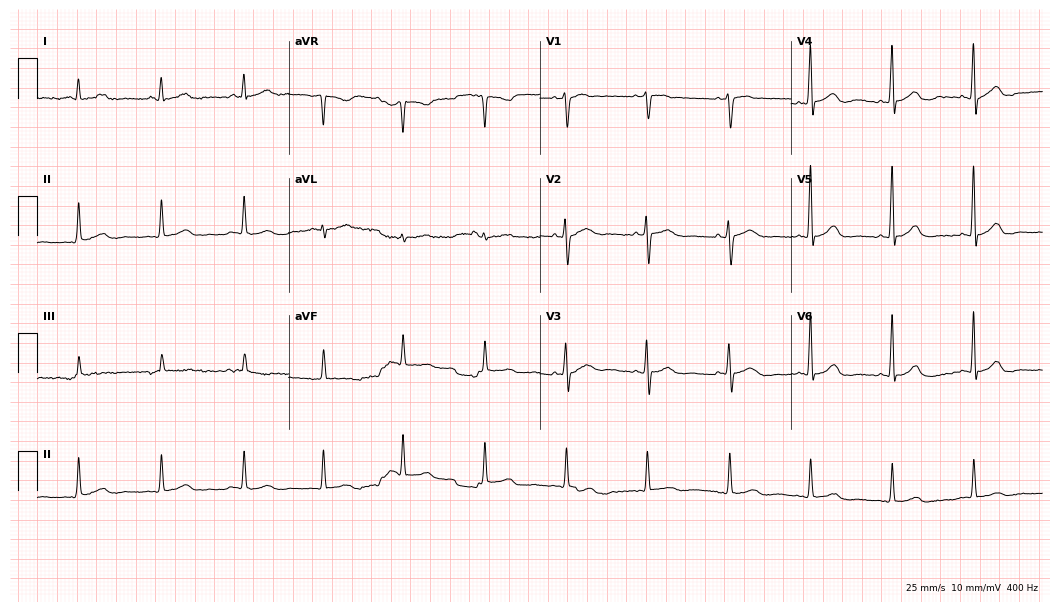
12-lead ECG from a 55-year-old female. Labelled as a normal ECG.